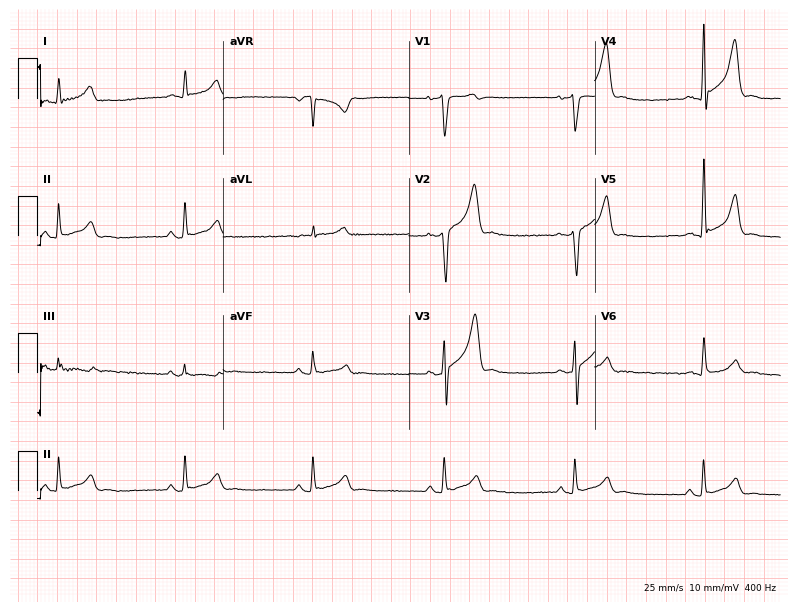
Resting 12-lead electrocardiogram (7.6-second recording at 400 Hz). Patient: a man, 45 years old. Read as a normal ECG.